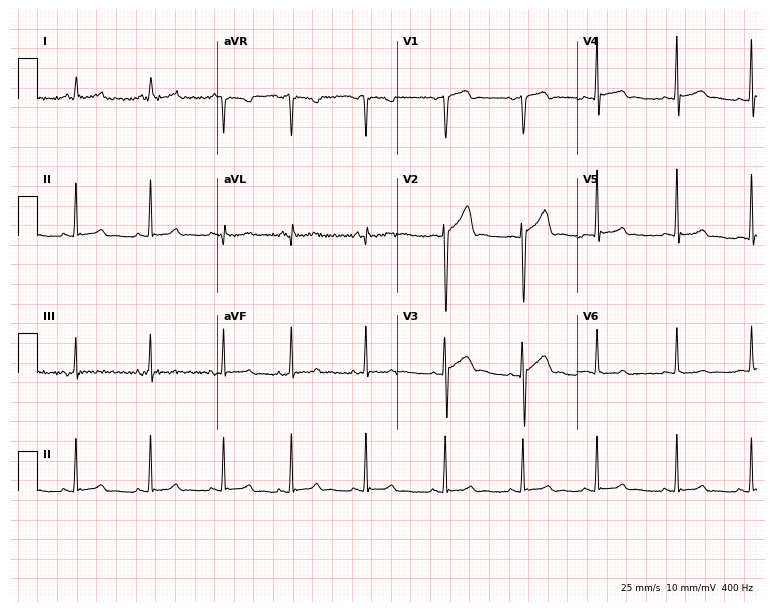
Standard 12-lead ECG recorded from a man, 17 years old. Read as a normal ECG.